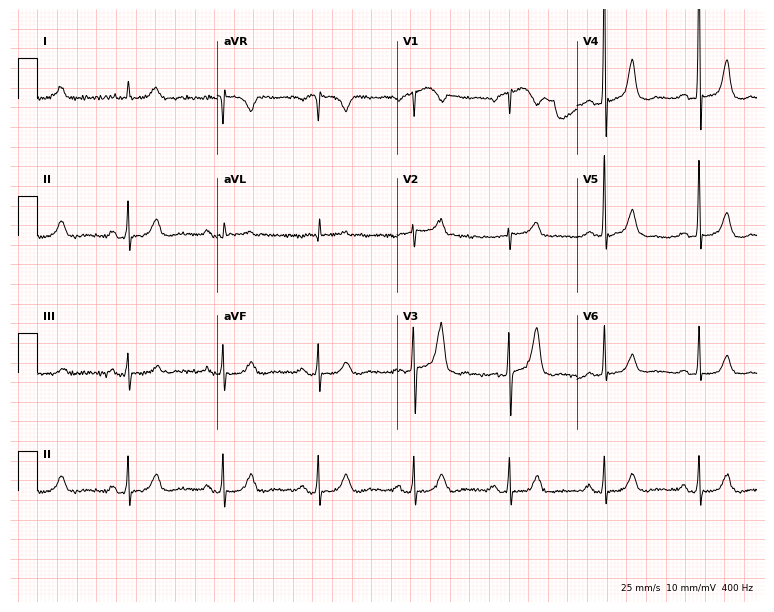
Standard 12-lead ECG recorded from an 82-year-old male. None of these six findings is recorded: first-degree AV block, right bundle branch block, left bundle branch block, sinus bradycardia, atrial fibrillation, sinus tachycardia. Findings outside these six are not listed.